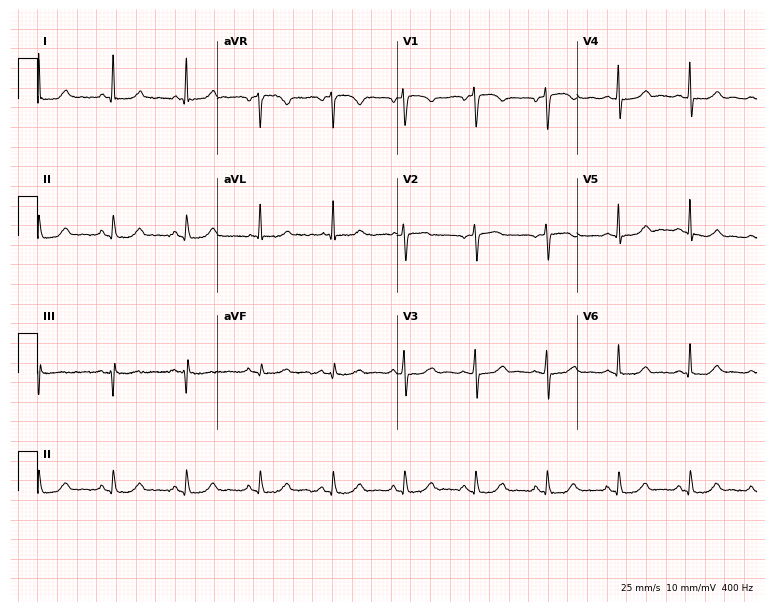
12-lead ECG from a female patient, 50 years old. Labelled as a normal ECG.